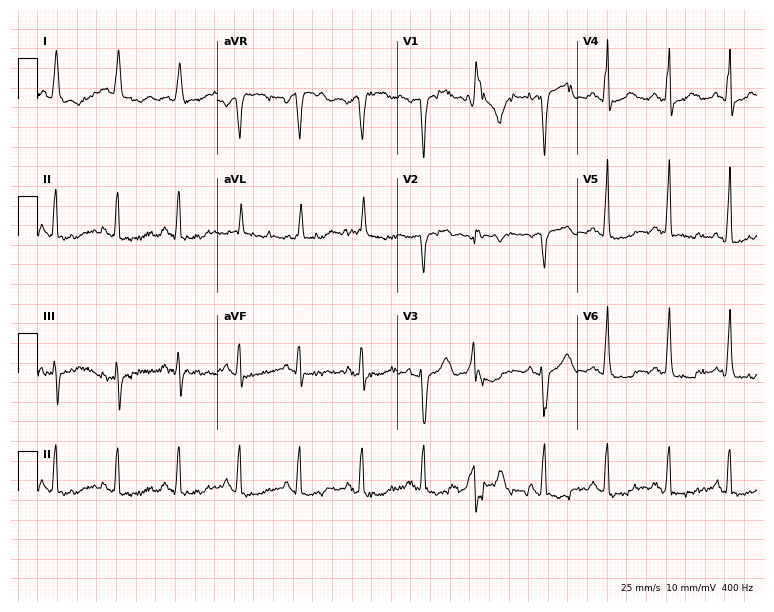
Standard 12-lead ECG recorded from a female, 77 years old. None of these six findings is recorded: first-degree AV block, right bundle branch block, left bundle branch block, sinus bradycardia, atrial fibrillation, sinus tachycardia. Findings outside these six are not listed.